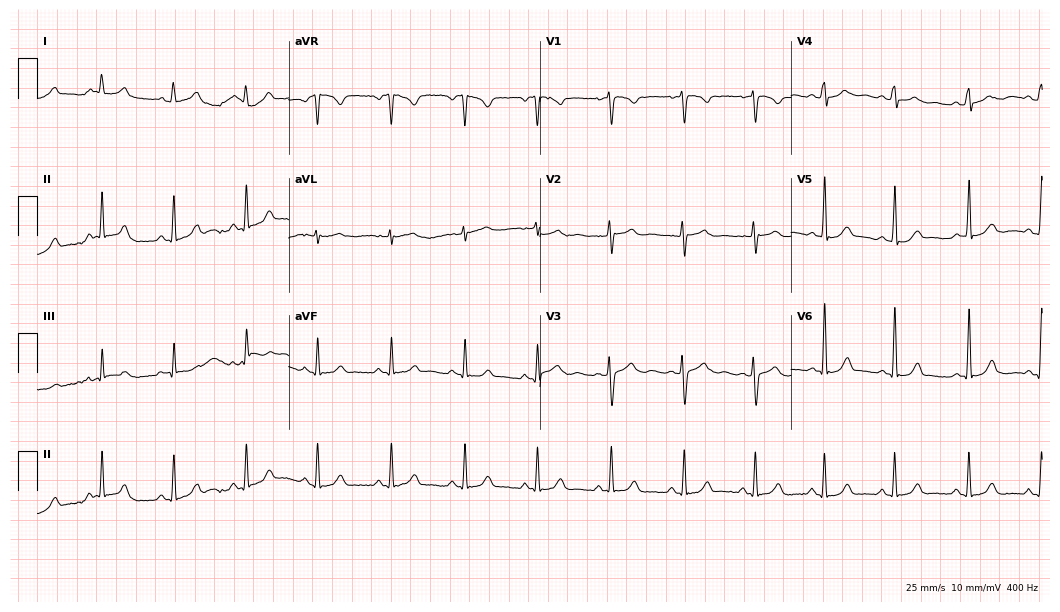
ECG (10.2-second recording at 400 Hz) — a 23-year-old female patient. Labelled as a normal ECG.